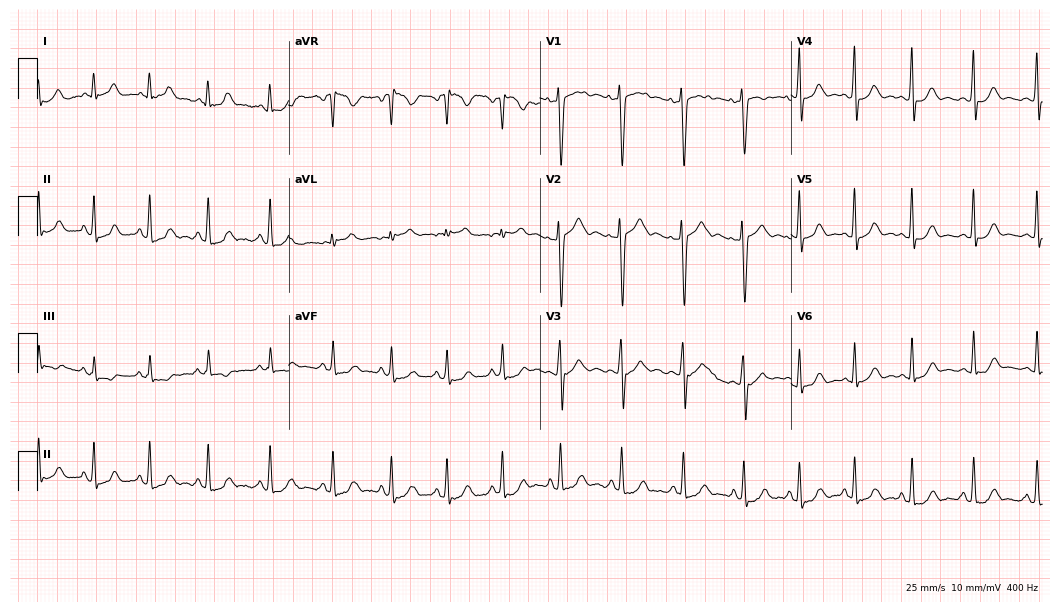
Standard 12-lead ECG recorded from a 24-year-old female (10.2-second recording at 400 Hz). Read as a normal ECG.